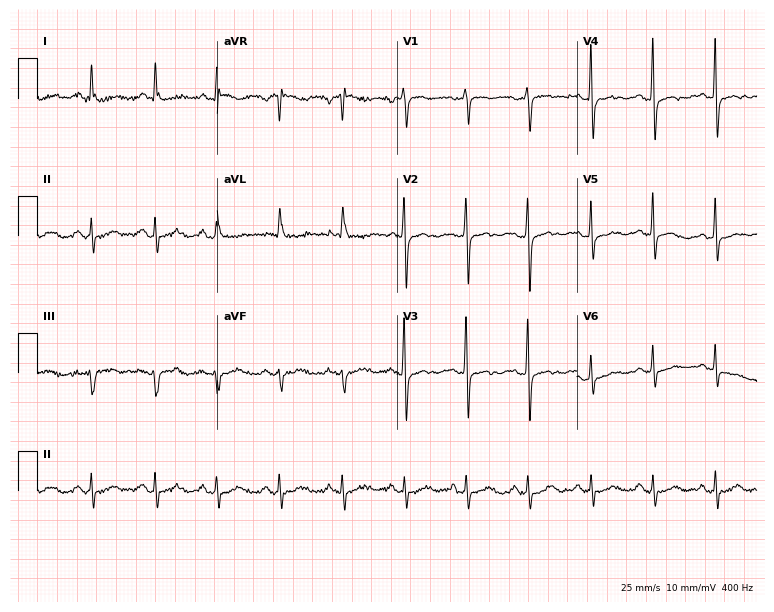
Electrocardiogram, a female patient, 70 years old. Of the six screened findings (first-degree AV block, right bundle branch block, left bundle branch block, sinus bradycardia, atrial fibrillation, sinus tachycardia), none is recorded.